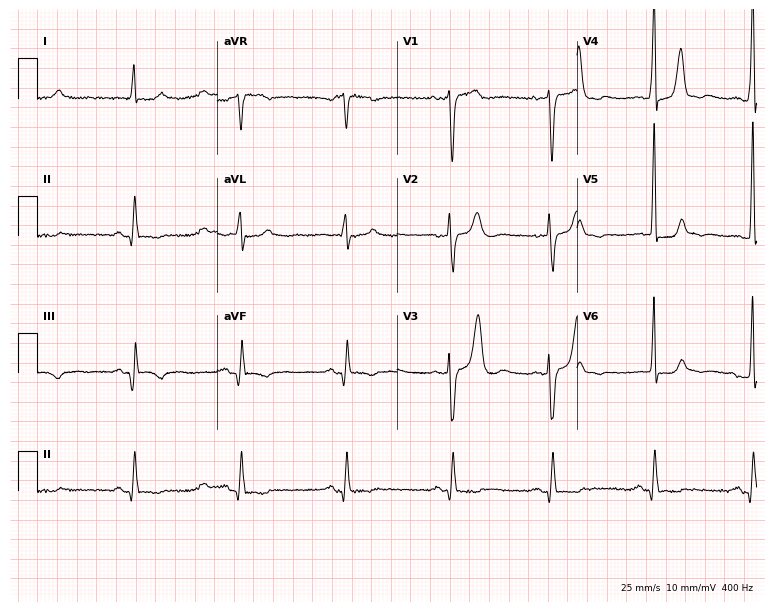
Electrocardiogram, a 79-year-old male. Of the six screened findings (first-degree AV block, right bundle branch block, left bundle branch block, sinus bradycardia, atrial fibrillation, sinus tachycardia), none is recorded. Only these six findings were labelled.